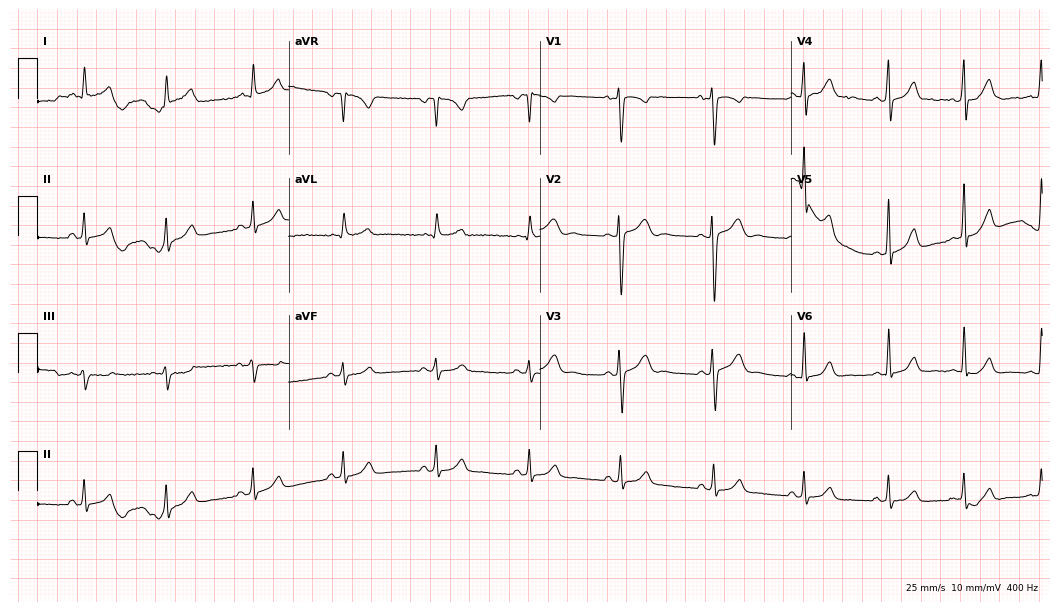
Electrocardiogram, a man, 25 years old. Overall reading on record: normal ECG.